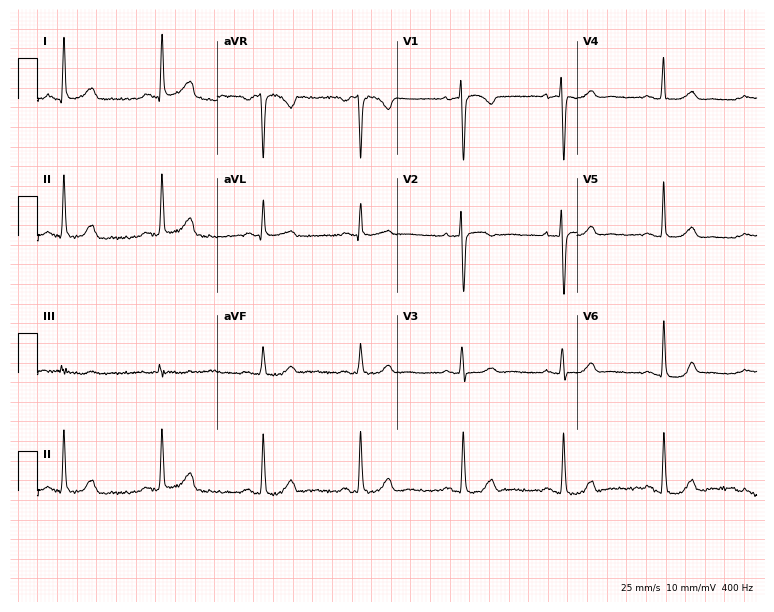
12-lead ECG from a 54-year-old woman. No first-degree AV block, right bundle branch block, left bundle branch block, sinus bradycardia, atrial fibrillation or sinus tachycardia recorded for this tracing. Findings outside these six are not listed.